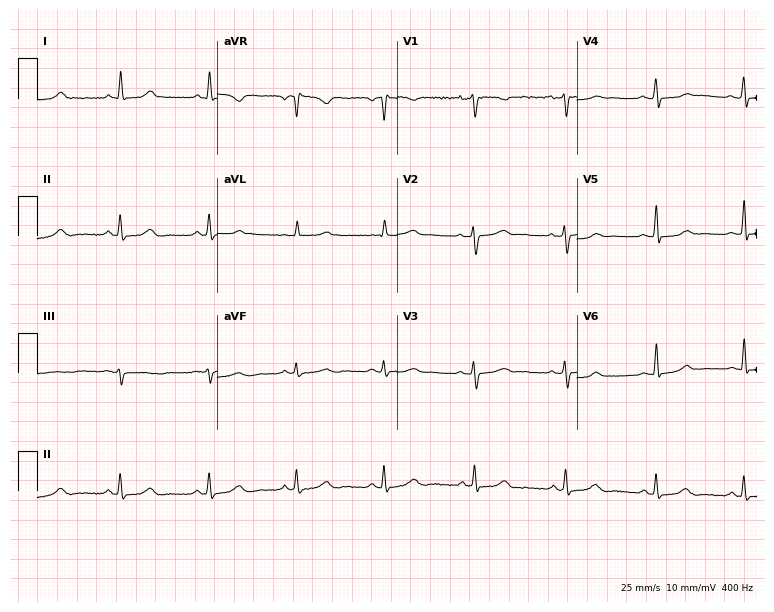
ECG — a woman, 45 years old. Screened for six findings — first-degree AV block, right bundle branch block (RBBB), left bundle branch block (LBBB), sinus bradycardia, atrial fibrillation (AF), sinus tachycardia — none is recorded.